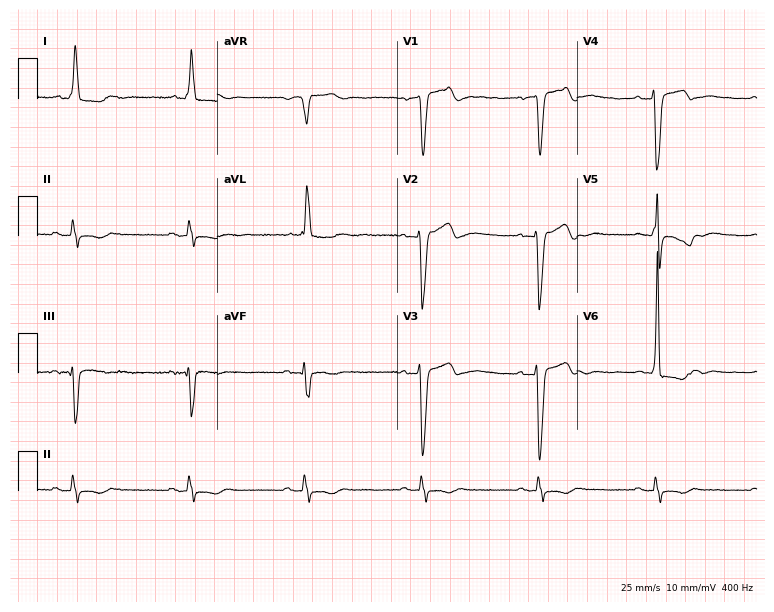
Electrocardiogram (7.3-second recording at 400 Hz), a 72-year-old man. Interpretation includes sinus bradycardia (a sinus rate of 50 beats per minute or less).